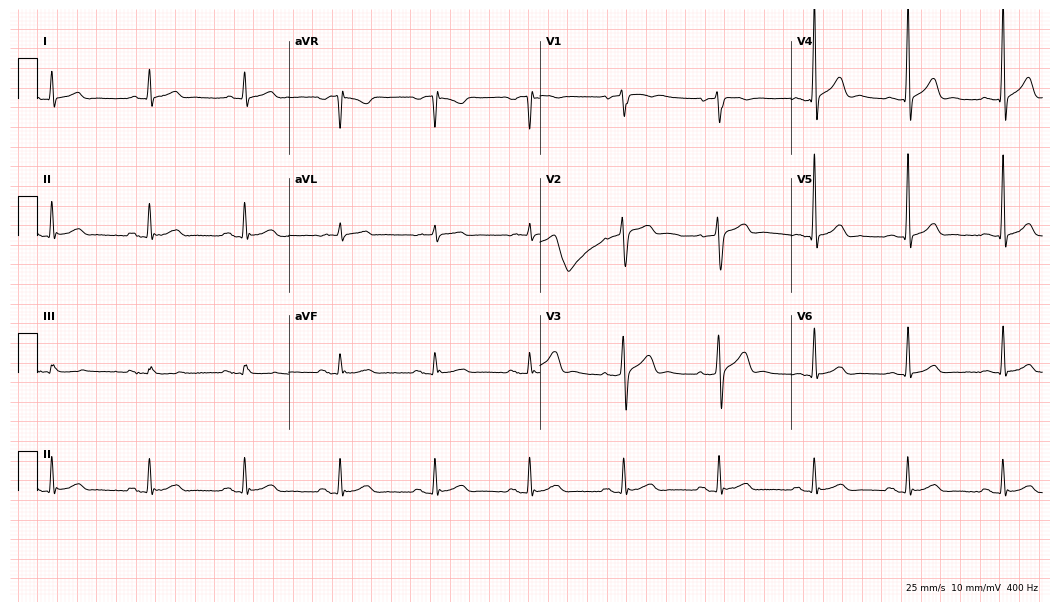
Standard 12-lead ECG recorded from a male patient, 66 years old (10.2-second recording at 400 Hz). None of these six findings is recorded: first-degree AV block, right bundle branch block, left bundle branch block, sinus bradycardia, atrial fibrillation, sinus tachycardia. Findings outside these six are not listed.